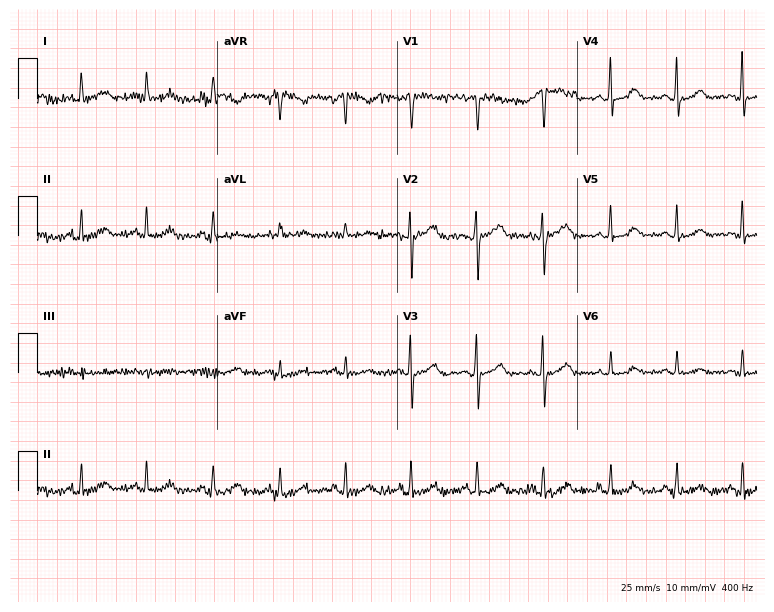
Electrocardiogram (7.3-second recording at 400 Hz), a 62-year-old female patient. Of the six screened findings (first-degree AV block, right bundle branch block, left bundle branch block, sinus bradycardia, atrial fibrillation, sinus tachycardia), none is recorded.